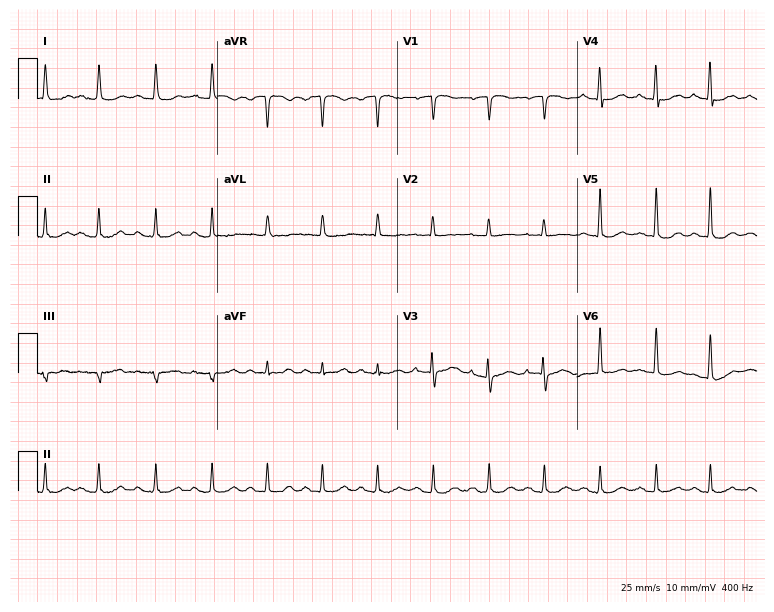
Resting 12-lead electrocardiogram (7.3-second recording at 400 Hz). Patient: a woman, 78 years old. The tracing shows sinus tachycardia (a sinus rate of 100 beats per minute or more).